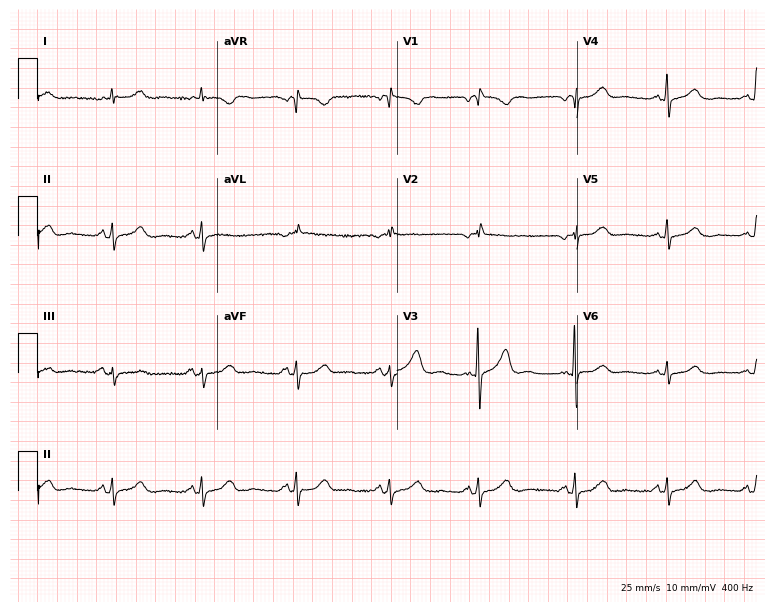
Standard 12-lead ECG recorded from a 72-year-old female (7.3-second recording at 400 Hz). None of these six findings is recorded: first-degree AV block, right bundle branch block, left bundle branch block, sinus bradycardia, atrial fibrillation, sinus tachycardia. Findings outside these six are not listed.